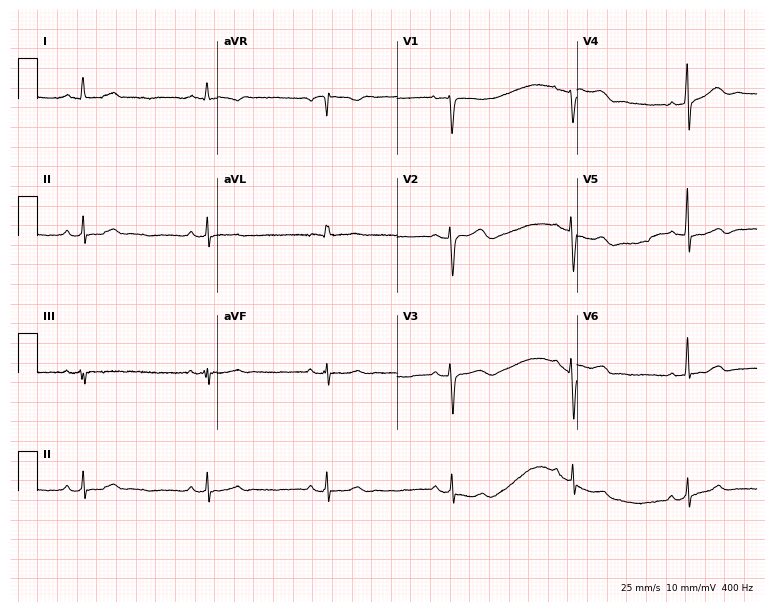
Resting 12-lead electrocardiogram. Patient: a 45-year-old female. None of these six findings is recorded: first-degree AV block, right bundle branch block, left bundle branch block, sinus bradycardia, atrial fibrillation, sinus tachycardia. Other findings, if any, are not listed.